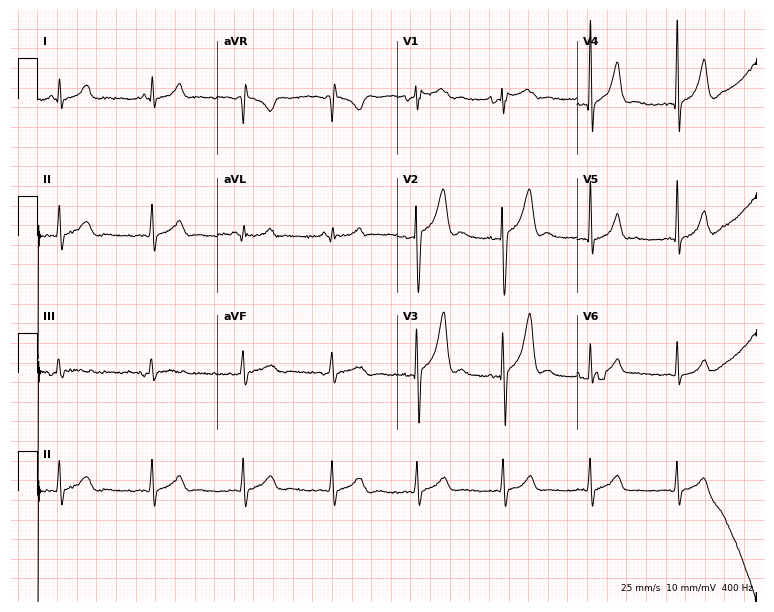
12-lead ECG (7.3-second recording at 400 Hz) from a 31-year-old male. Labelled as a normal ECG.